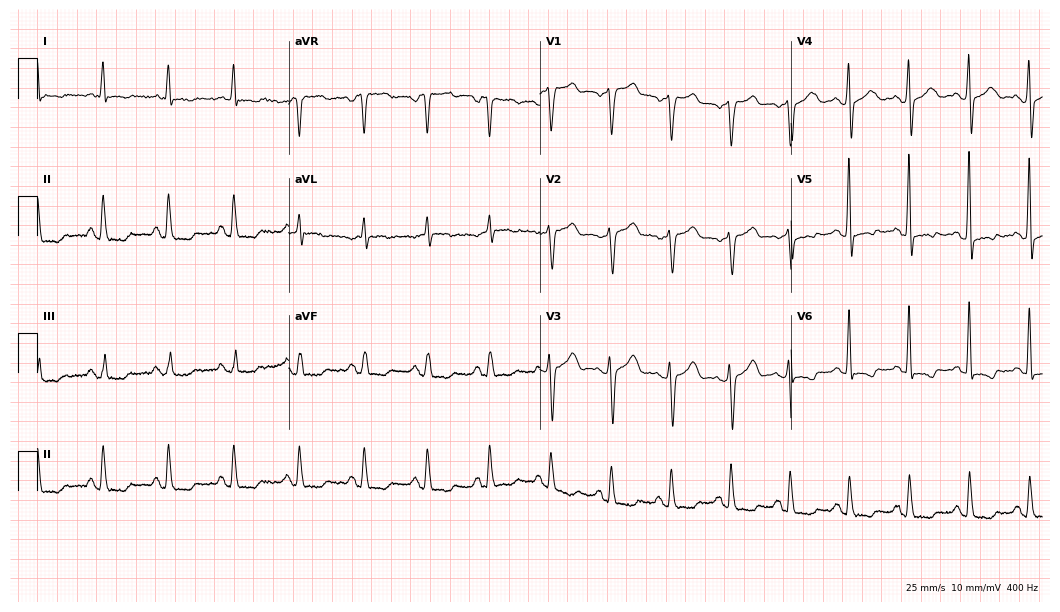
Electrocardiogram (10.2-second recording at 400 Hz), a male patient, 69 years old. Of the six screened findings (first-degree AV block, right bundle branch block, left bundle branch block, sinus bradycardia, atrial fibrillation, sinus tachycardia), none is recorded.